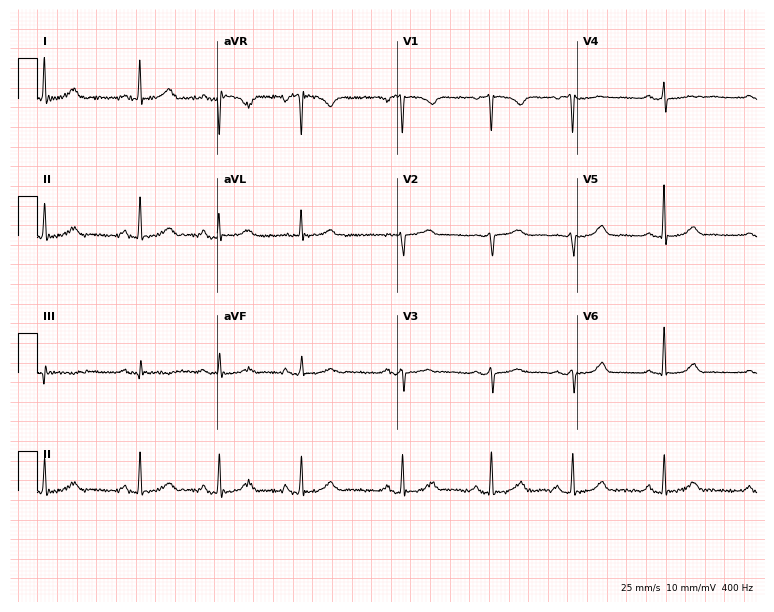
Resting 12-lead electrocardiogram (7.3-second recording at 400 Hz). Patient: a 56-year-old woman. None of these six findings is recorded: first-degree AV block, right bundle branch block, left bundle branch block, sinus bradycardia, atrial fibrillation, sinus tachycardia. Only these six findings were labelled.